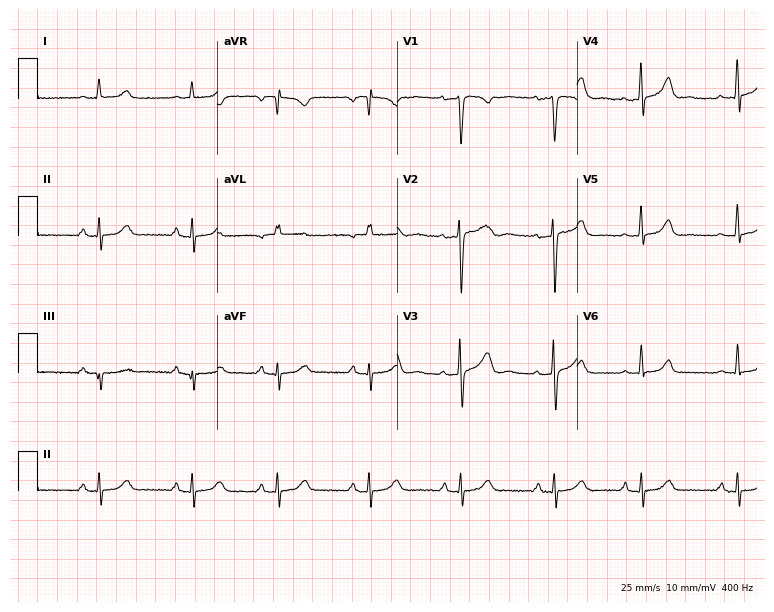
ECG — a female patient, 37 years old. Screened for six findings — first-degree AV block, right bundle branch block, left bundle branch block, sinus bradycardia, atrial fibrillation, sinus tachycardia — none is recorded.